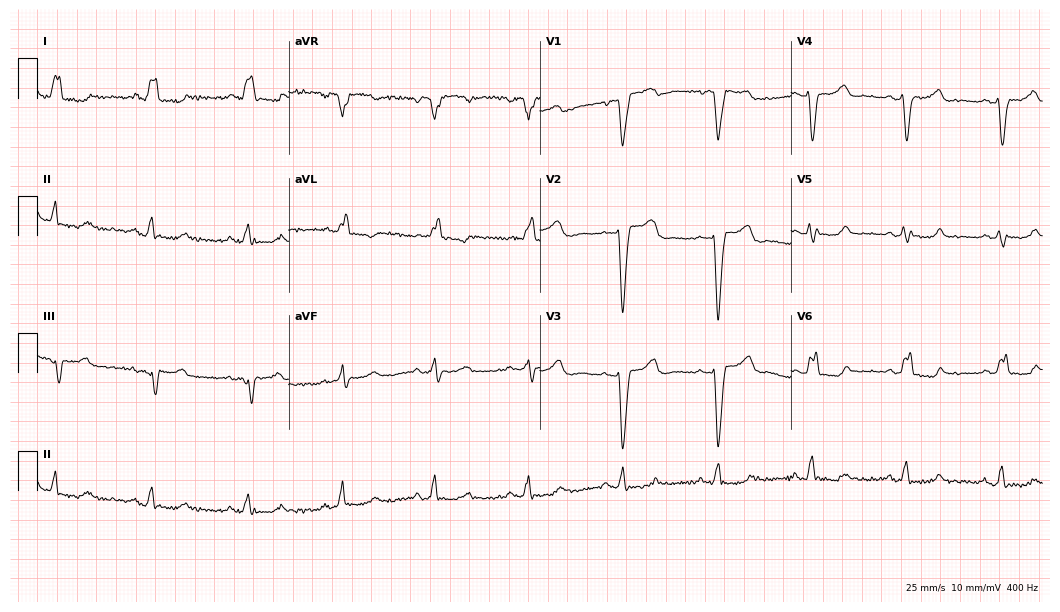
12-lead ECG (10.2-second recording at 400 Hz) from a woman, 72 years old. Findings include left bundle branch block (LBBB).